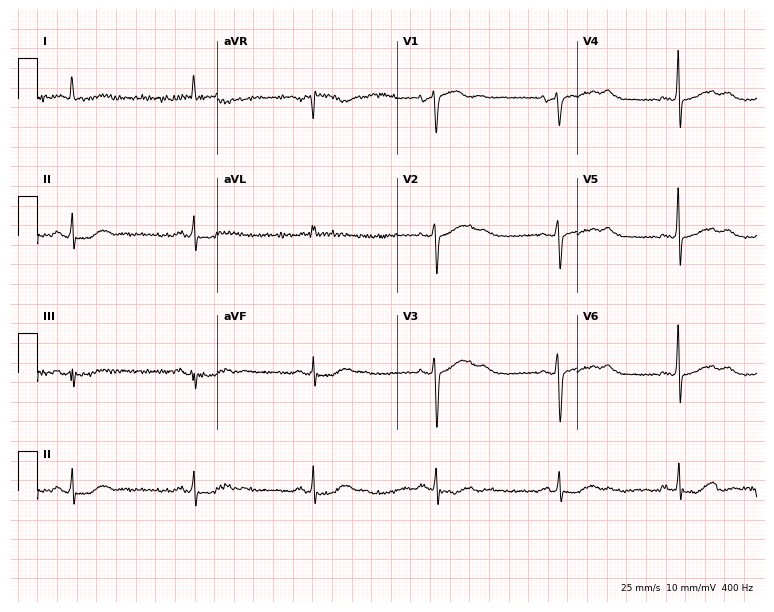
Standard 12-lead ECG recorded from a 71-year-old male (7.3-second recording at 400 Hz). The tracing shows sinus bradycardia (a sinus rate of 50 beats per minute or less).